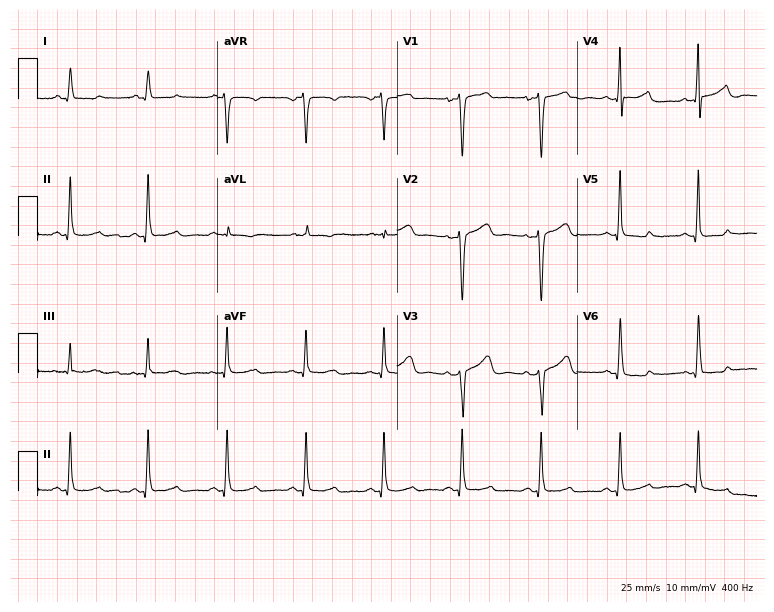
12-lead ECG from a female patient, 48 years old (7.3-second recording at 400 Hz). No first-degree AV block, right bundle branch block (RBBB), left bundle branch block (LBBB), sinus bradycardia, atrial fibrillation (AF) or sinus tachycardia recorded for this tracing.